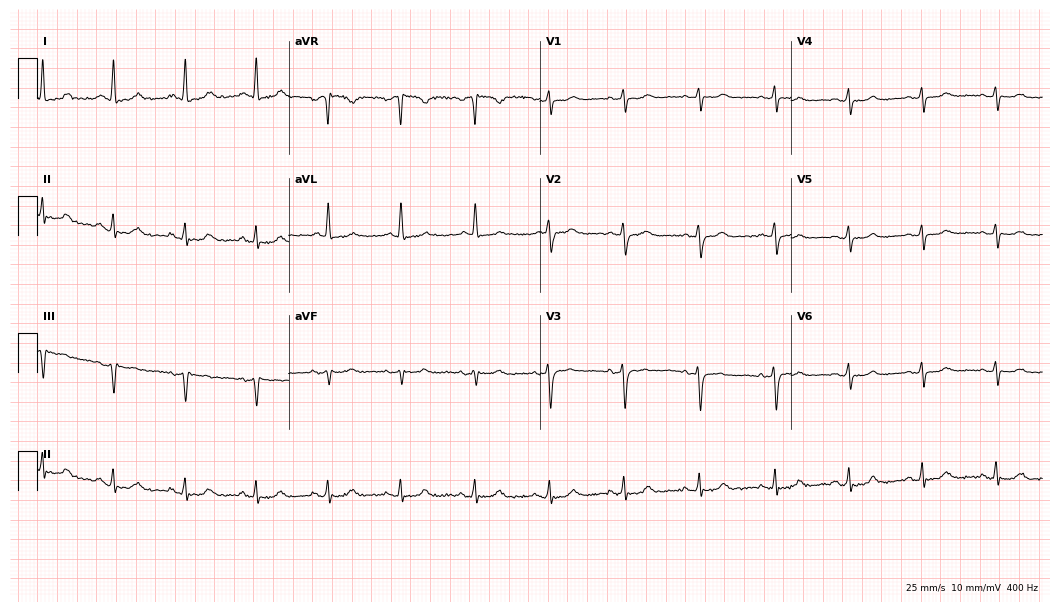
12-lead ECG from a 66-year-old female patient (10.2-second recording at 400 Hz). No first-degree AV block, right bundle branch block (RBBB), left bundle branch block (LBBB), sinus bradycardia, atrial fibrillation (AF) or sinus tachycardia recorded for this tracing.